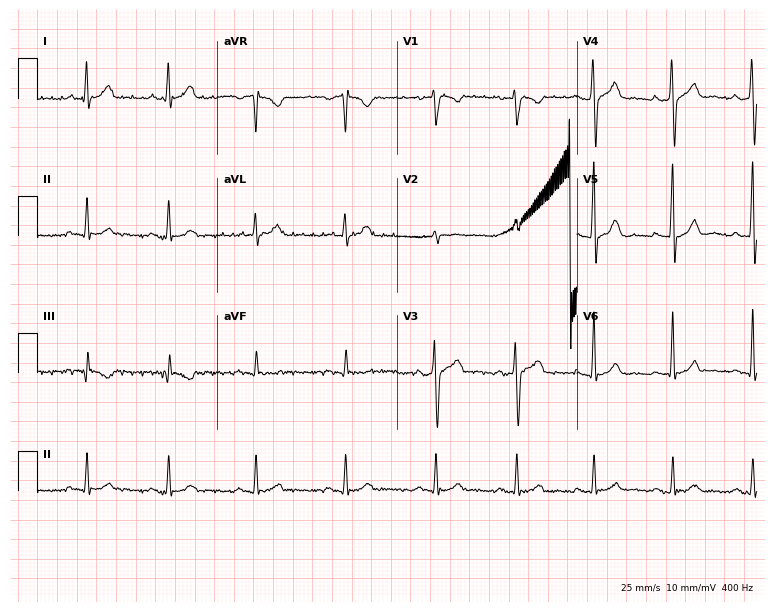
ECG (7.3-second recording at 400 Hz) — a 37-year-old male patient. Screened for six findings — first-degree AV block, right bundle branch block (RBBB), left bundle branch block (LBBB), sinus bradycardia, atrial fibrillation (AF), sinus tachycardia — none is recorded.